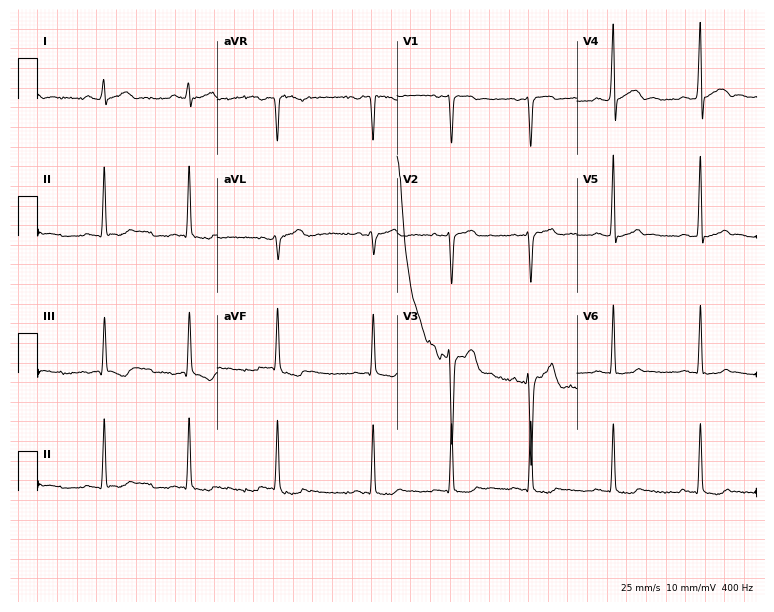
Electrocardiogram, a 24-year-old male. Of the six screened findings (first-degree AV block, right bundle branch block (RBBB), left bundle branch block (LBBB), sinus bradycardia, atrial fibrillation (AF), sinus tachycardia), none is recorded. Other findings, if any, are not listed.